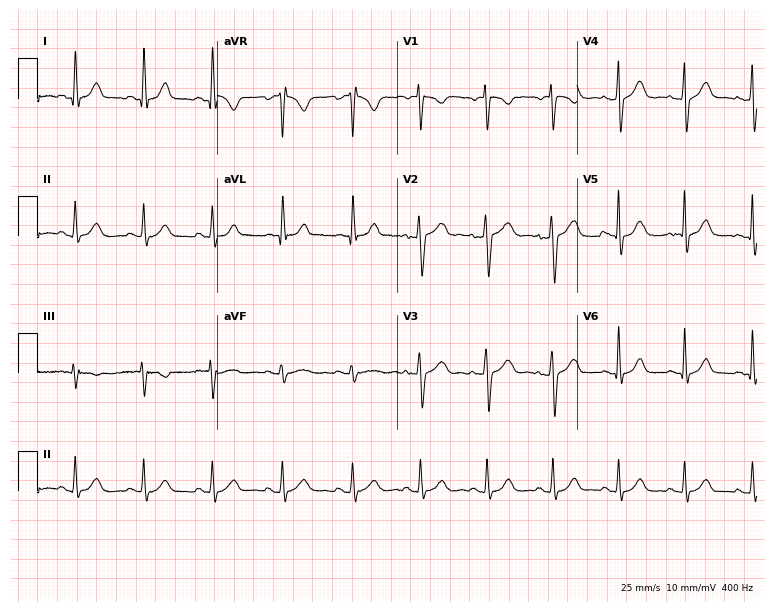
Standard 12-lead ECG recorded from a female, 49 years old. Read as a normal ECG.